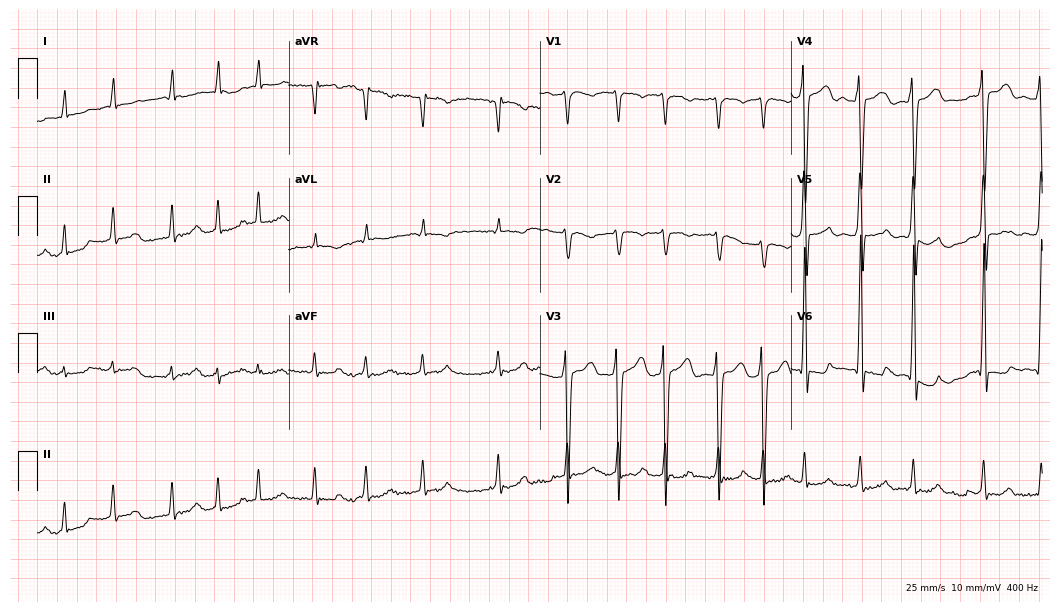
12-lead ECG from a male, 69 years old. Shows atrial fibrillation.